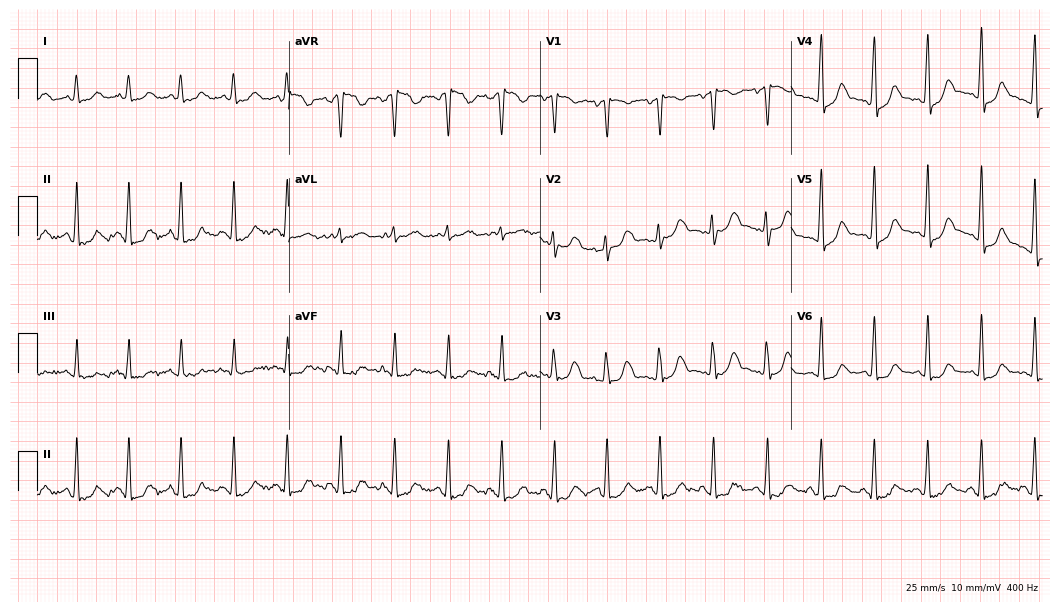
Electrocardiogram, a 32-year-old female. Interpretation includes sinus tachycardia (a sinus rate of 100 beats per minute or more).